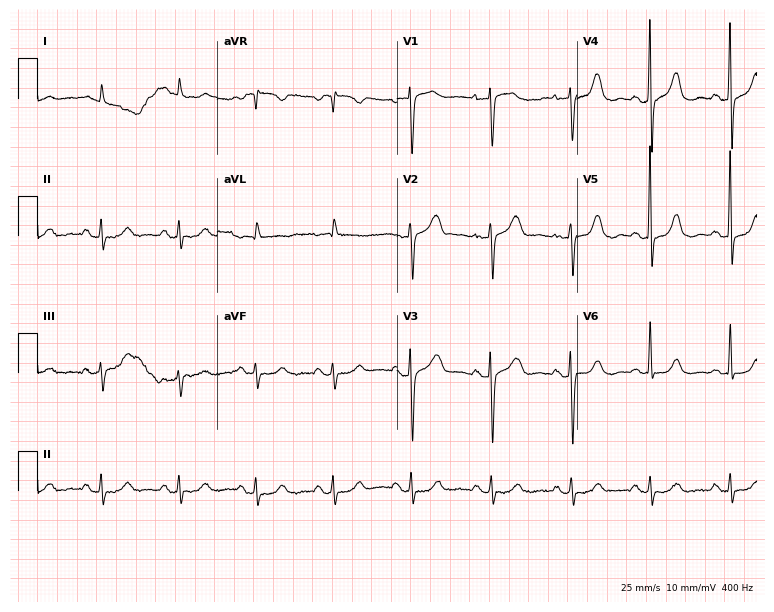
ECG (7.3-second recording at 400 Hz) — a female, 78 years old. Labelled as a normal ECG.